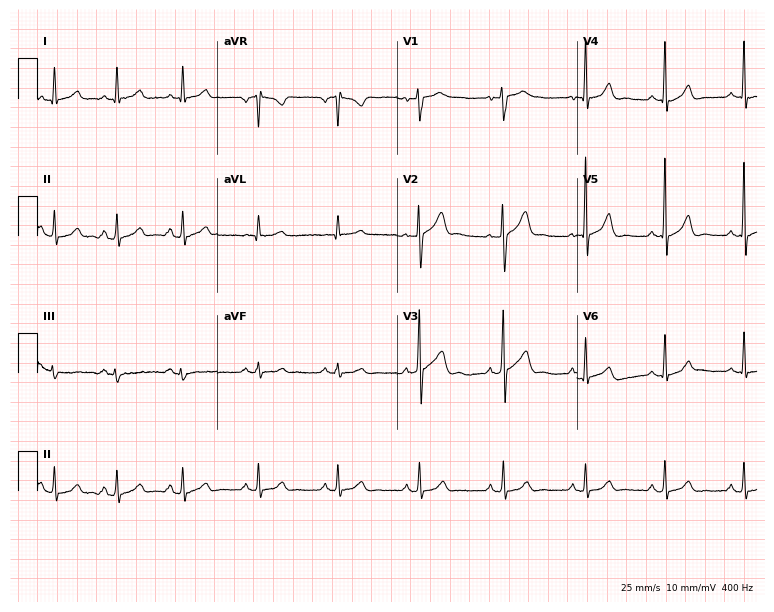
Resting 12-lead electrocardiogram. Patient: a male, 44 years old. None of these six findings is recorded: first-degree AV block, right bundle branch block, left bundle branch block, sinus bradycardia, atrial fibrillation, sinus tachycardia. Findings outside these six are not listed.